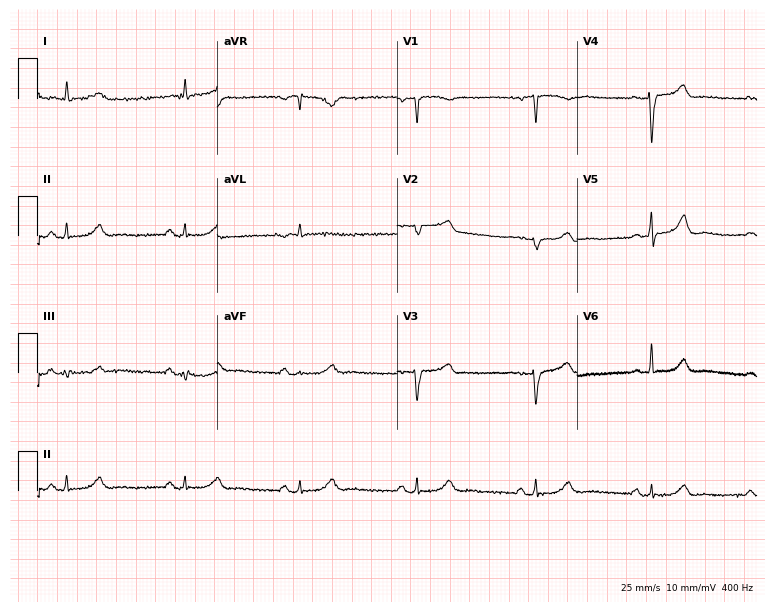
12-lead ECG from a woman, 69 years old (7.3-second recording at 400 Hz). No first-degree AV block, right bundle branch block (RBBB), left bundle branch block (LBBB), sinus bradycardia, atrial fibrillation (AF) or sinus tachycardia recorded for this tracing. Only these six findings were labelled.